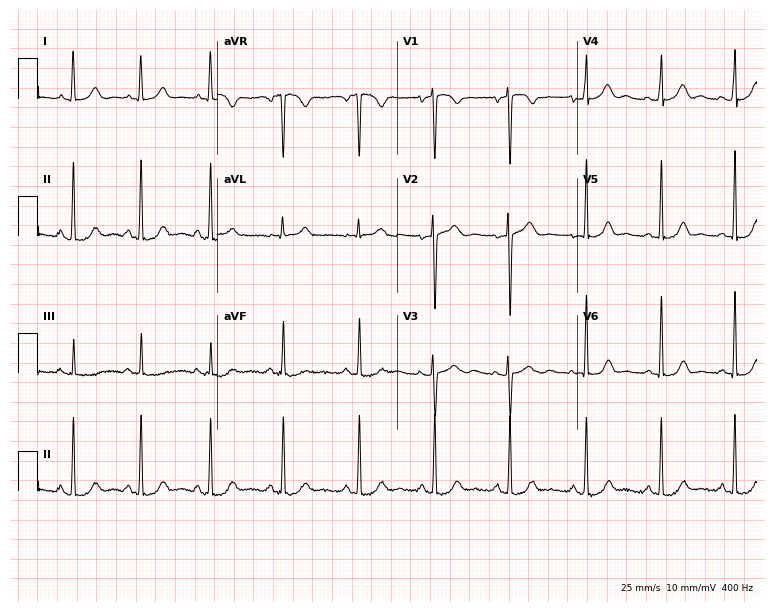
12-lead ECG from a female, 31 years old (7.3-second recording at 400 Hz). No first-degree AV block, right bundle branch block, left bundle branch block, sinus bradycardia, atrial fibrillation or sinus tachycardia recorded for this tracing.